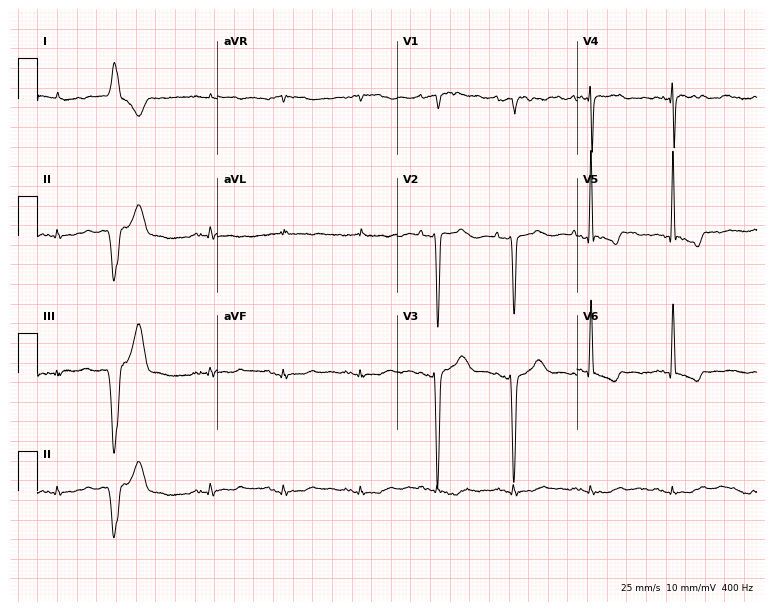
ECG (7.3-second recording at 400 Hz) — a female patient, 89 years old. Screened for six findings — first-degree AV block, right bundle branch block (RBBB), left bundle branch block (LBBB), sinus bradycardia, atrial fibrillation (AF), sinus tachycardia — none is recorded.